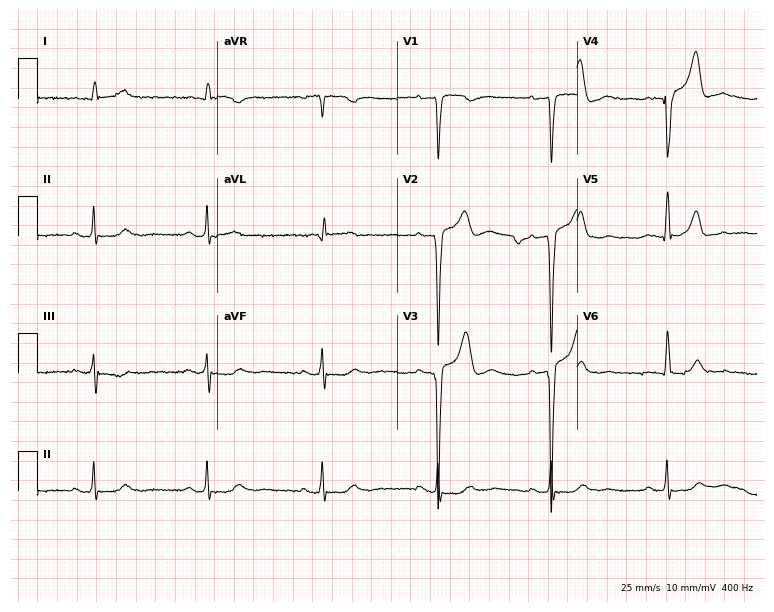
Resting 12-lead electrocardiogram. Patient: a 75-year-old man. None of these six findings is recorded: first-degree AV block, right bundle branch block, left bundle branch block, sinus bradycardia, atrial fibrillation, sinus tachycardia.